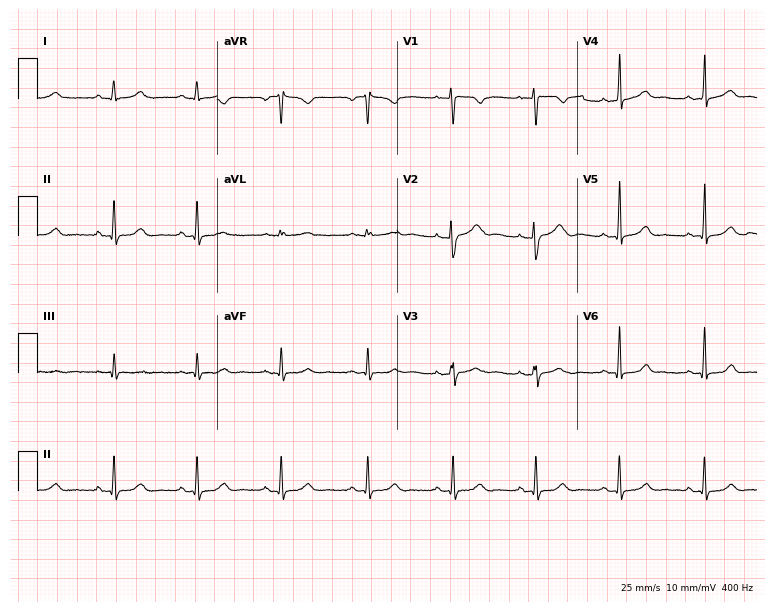
12-lead ECG (7.3-second recording at 400 Hz) from a 25-year-old female. Labelled as a normal ECG.